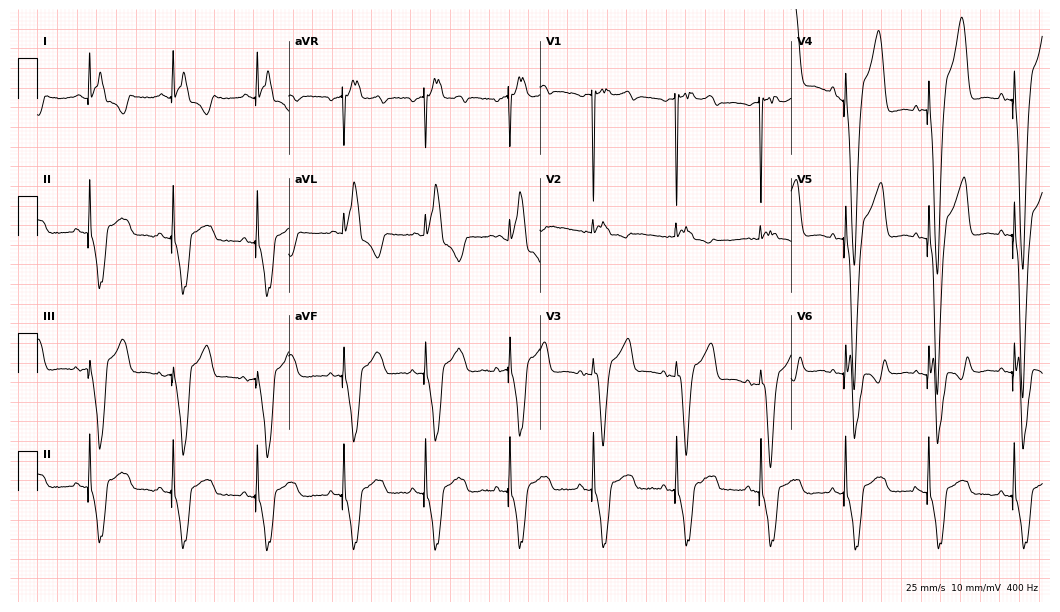
12-lead ECG from a man, 40 years old. Screened for six findings — first-degree AV block, right bundle branch block (RBBB), left bundle branch block (LBBB), sinus bradycardia, atrial fibrillation (AF), sinus tachycardia — none is recorded. Findings outside these six are not listed.